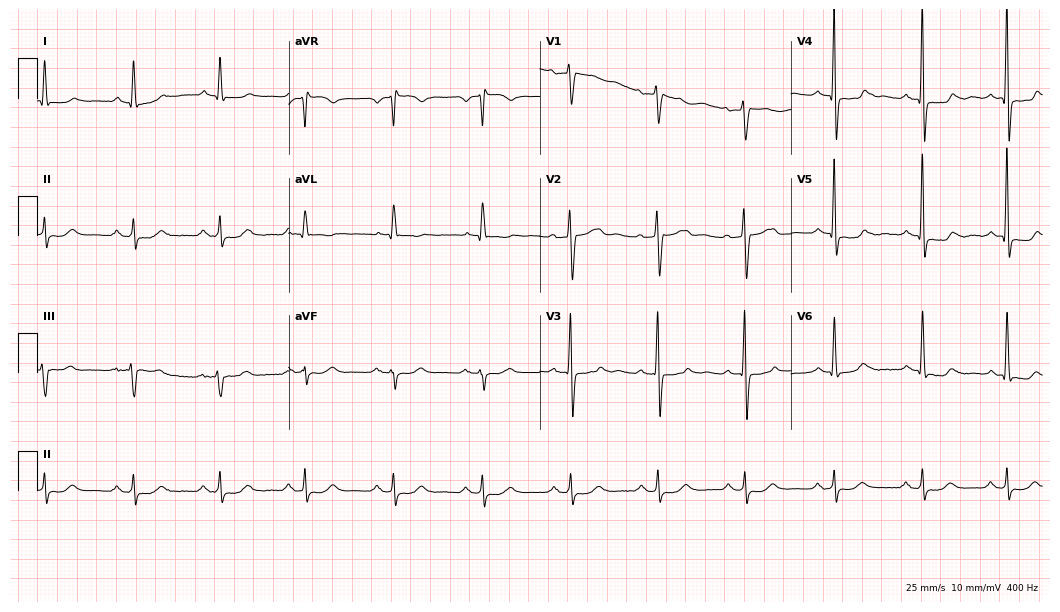
Electrocardiogram (10.2-second recording at 400 Hz), a 63-year-old man. Of the six screened findings (first-degree AV block, right bundle branch block, left bundle branch block, sinus bradycardia, atrial fibrillation, sinus tachycardia), none is recorded.